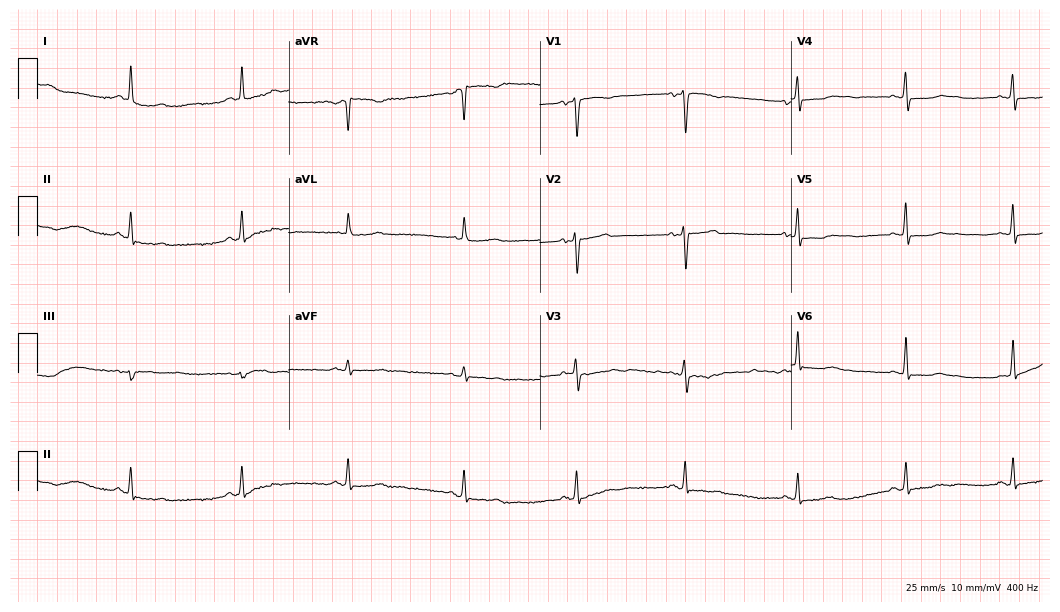
12-lead ECG from a 44-year-old female. Labelled as a normal ECG.